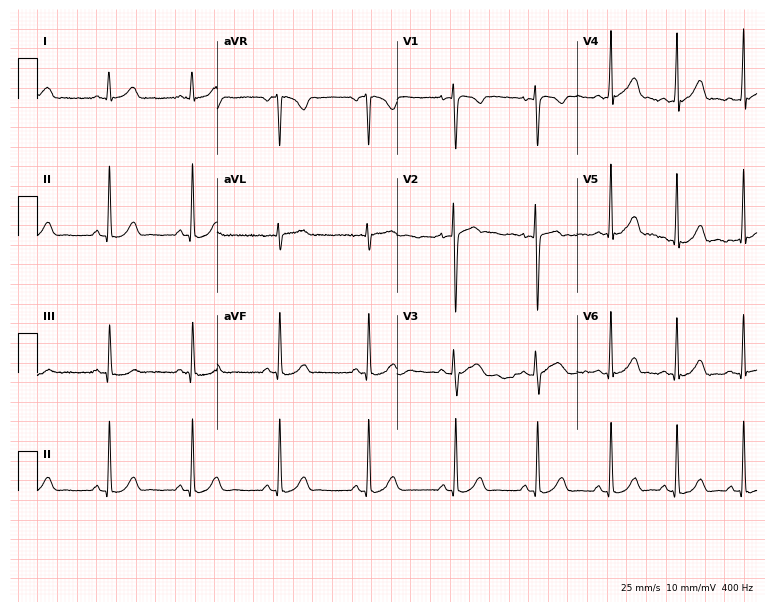
Electrocardiogram (7.3-second recording at 400 Hz), a female, 18 years old. Overall reading on record: normal ECG.